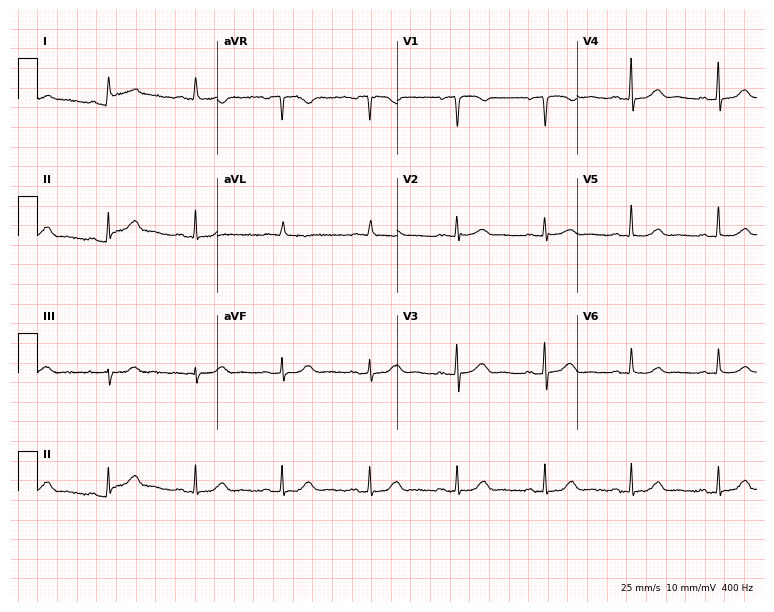
Electrocardiogram (7.3-second recording at 400 Hz), a 63-year-old female patient. Of the six screened findings (first-degree AV block, right bundle branch block, left bundle branch block, sinus bradycardia, atrial fibrillation, sinus tachycardia), none is recorded. Findings outside these six are not listed.